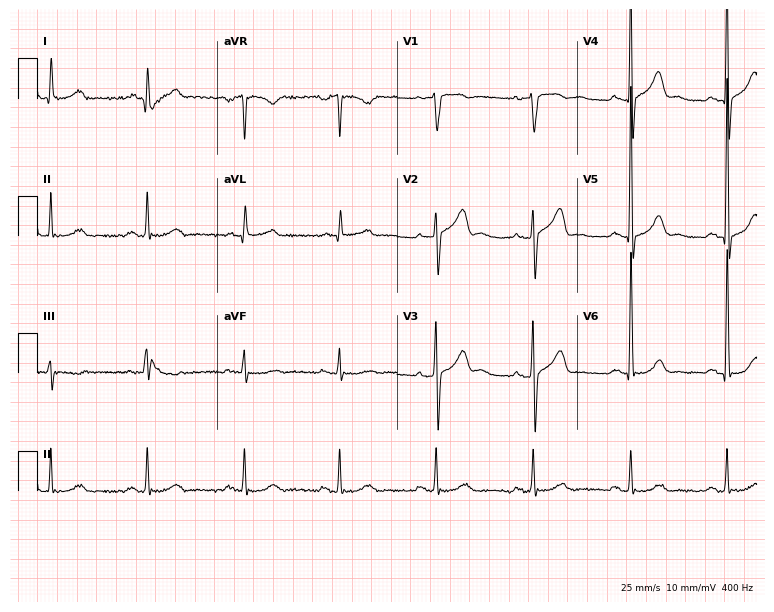
12-lead ECG from a male, 60 years old (7.3-second recording at 400 Hz). No first-degree AV block, right bundle branch block, left bundle branch block, sinus bradycardia, atrial fibrillation or sinus tachycardia recorded for this tracing.